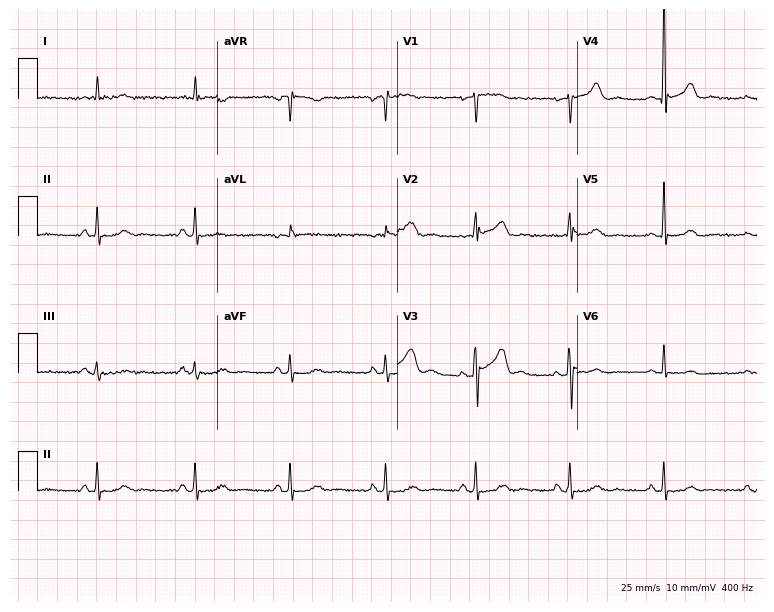
Electrocardiogram, a male patient, 73 years old. Of the six screened findings (first-degree AV block, right bundle branch block, left bundle branch block, sinus bradycardia, atrial fibrillation, sinus tachycardia), none is recorded. Other findings, if any, are not listed.